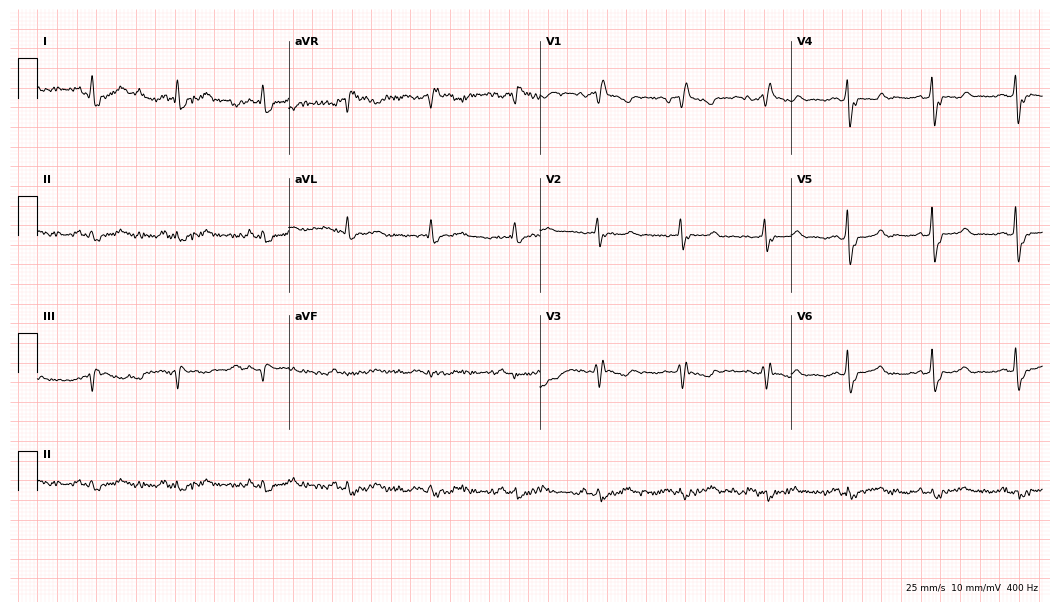
Resting 12-lead electrocardiogram (10.2-second recording at 400 Hz). Patient: a male, 72 years old. None of these six findings is recorded: first-degree AV block, right bundle branch block, left bundle branch block, sinus bradycardia, atrial fibrillation, sinus tachycardia. Findings outside these six are not listed.